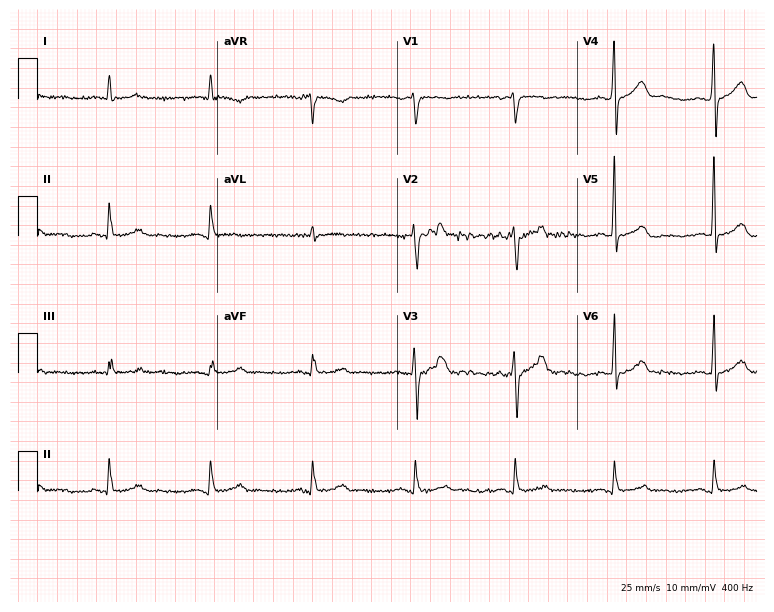
Standard 12-lead ECG recorded from a 69-year-old male patient. None of these six findings is recorded: first-degree AV block, right bundle branch block, left bundle branch block, sinus bradycardia, atrial fibrillation, sinus tachycardia.